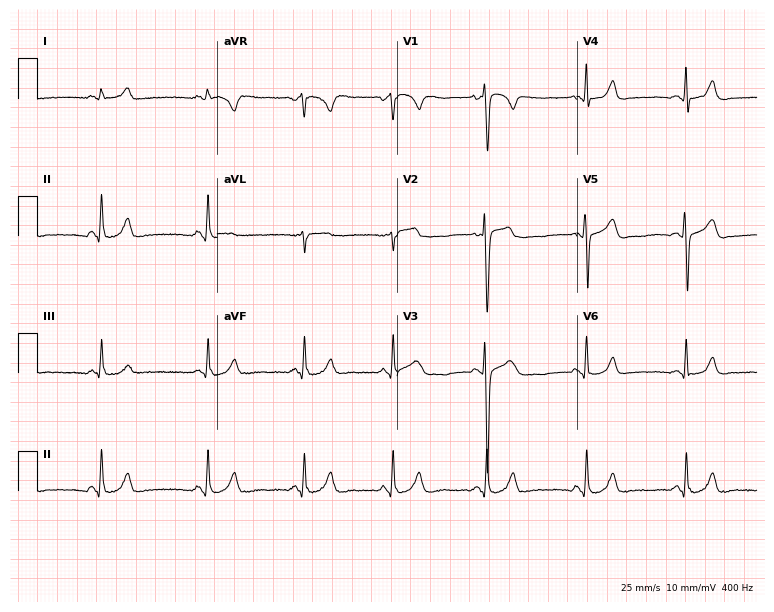
Resting 12-lead electrocardiogram (7.3-second recording at 400 Hz). Patient: a male, 26 years old. None of these six findings is recorded: first-degree AV block, right bundle branch block, left bundle branch block, sinus bradycardia, atrial fibrillation, sinus tachycardia. Only these six findings were labelled.